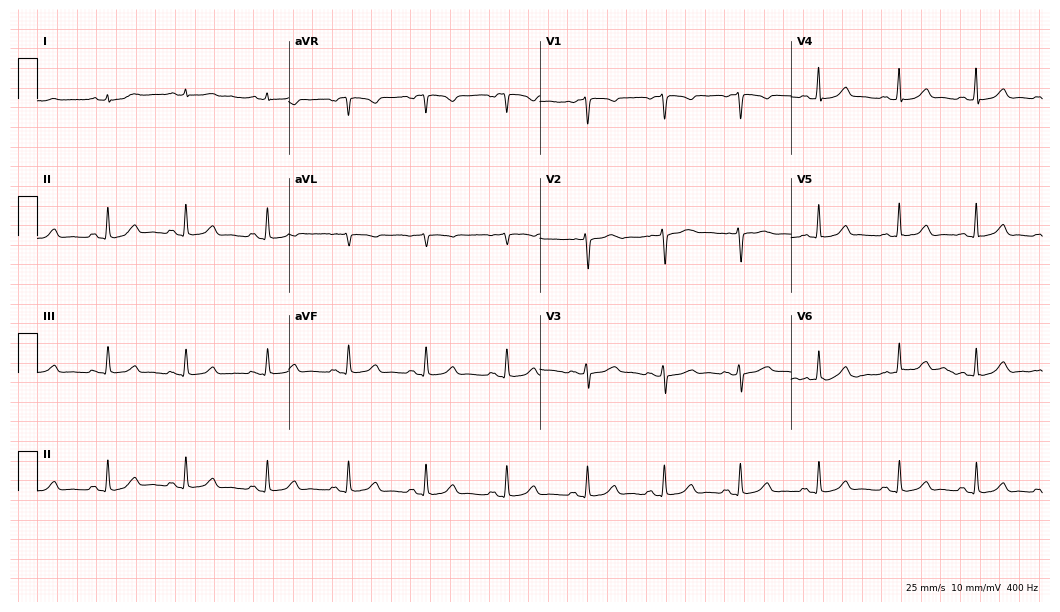
Electrocardiogram (10.2-second recording at 400 Hz), a 43-year-old female patient. Overall reading on record: normal ECG.